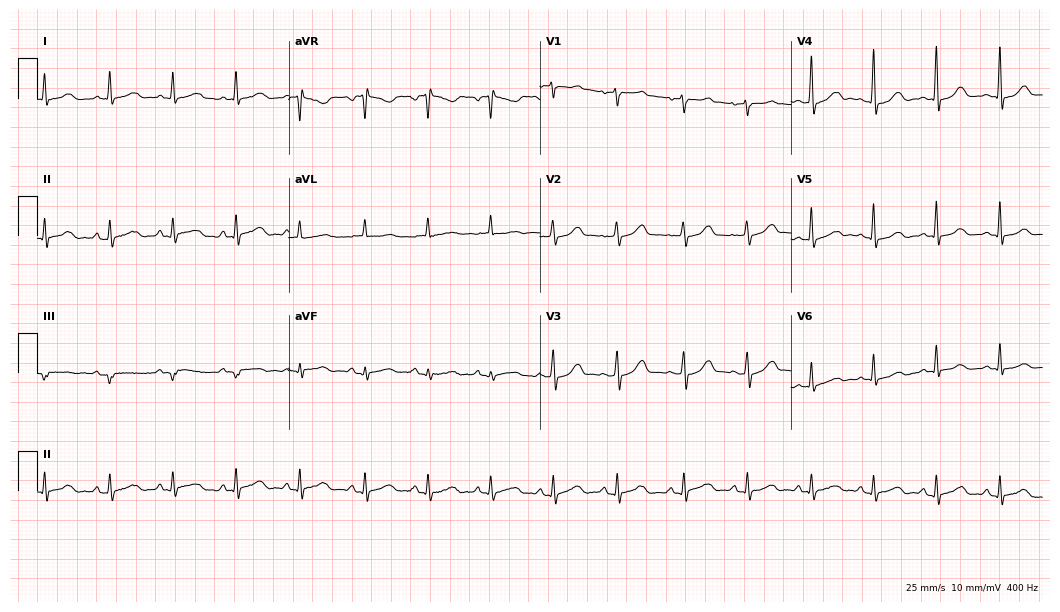
12-lead ECG from a female, 73 years old. Screened for six findings — first-degree AV block, right bundle branch block, left bundle branch block, sinus bradycardia, atrial fibrillation, sinus tachycardia — none is recorded. Other findings, if any, are not listed.